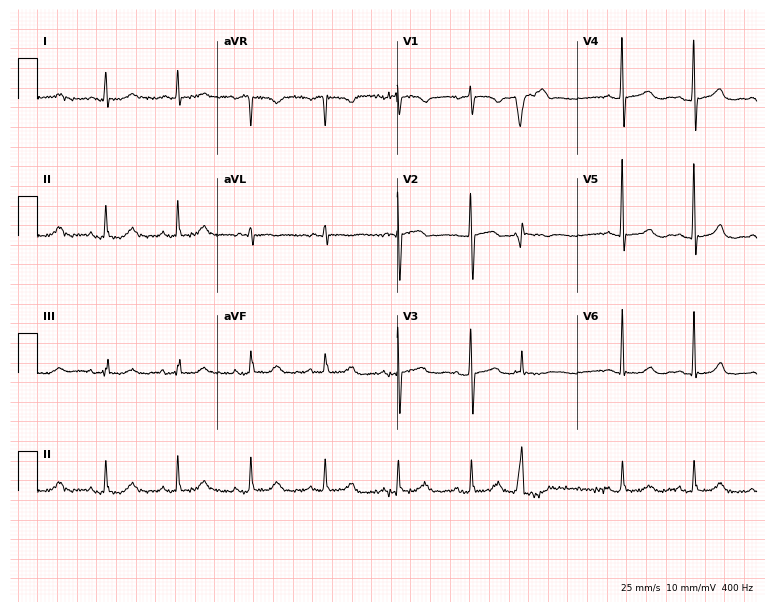
ECG (7.3-second recording at 400 Hz) — a 75-year-old female. Screened for six findings — first-degree AV block, right bundle branch block, left bundle branch block, sinus bradycardia, atrial fibrillation, sinus tachycardia — none is recorded. Findings outside these six are not listed.